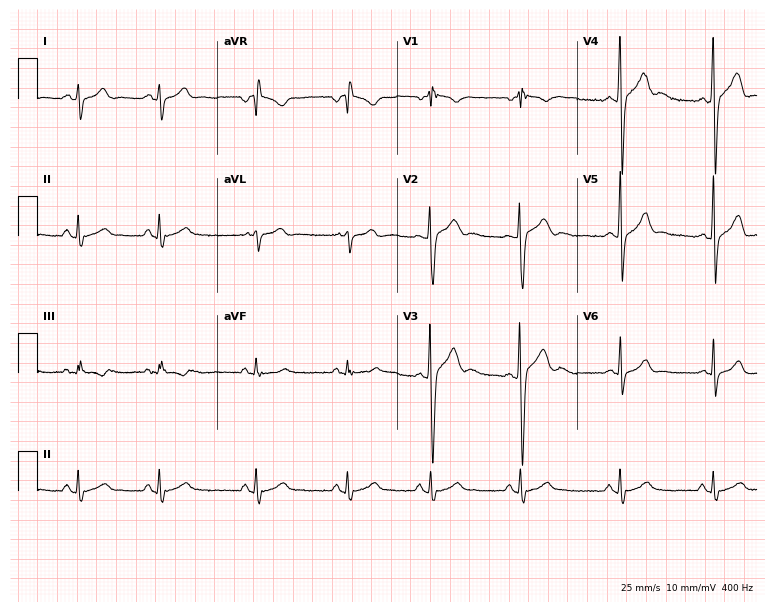
12-lead ECG (7.3-second recording at 400 Hz) from a 17-year-old man. Labelled as a normal ECG.